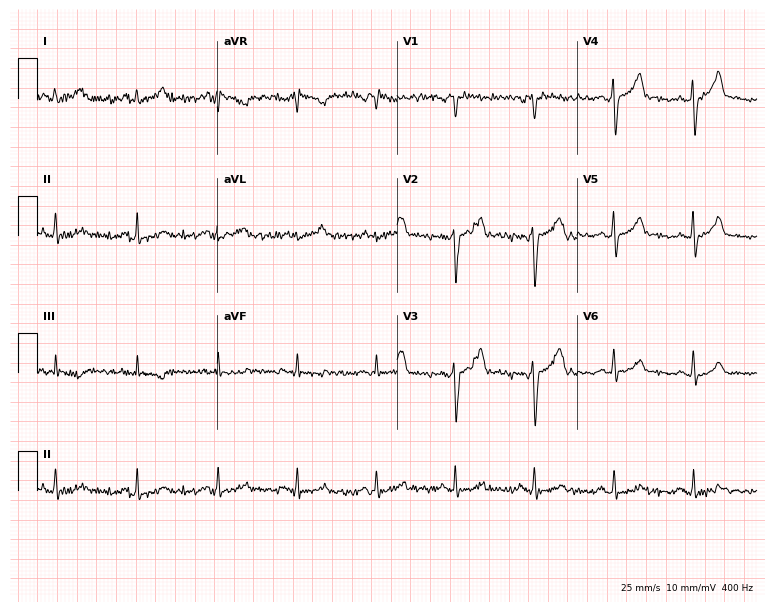
Standard 12-lead ECG recorded from a 43-year-old man (7.3-second recording at 400 Hz). Read as a normal ECG.